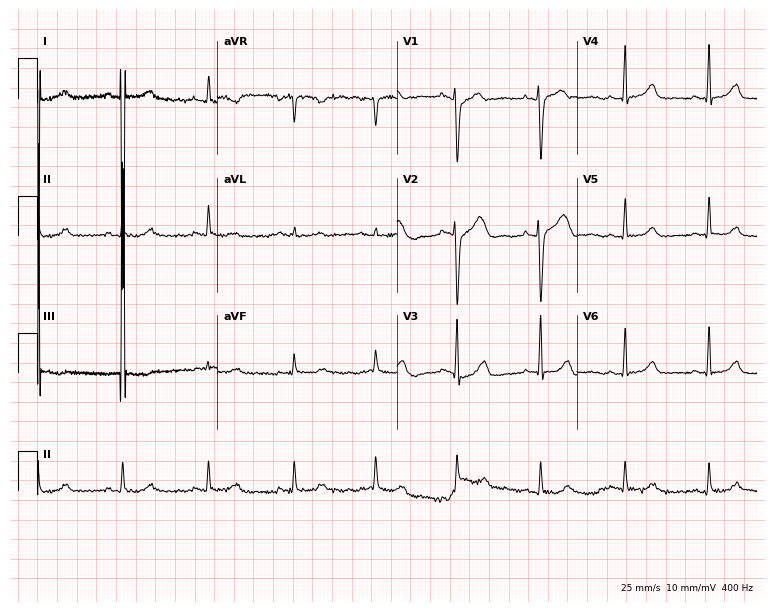
Standard 12-lead ECG recorded from a female, 48 years old (7.3-second recording at 400 Hz). Read as a normal ECG.